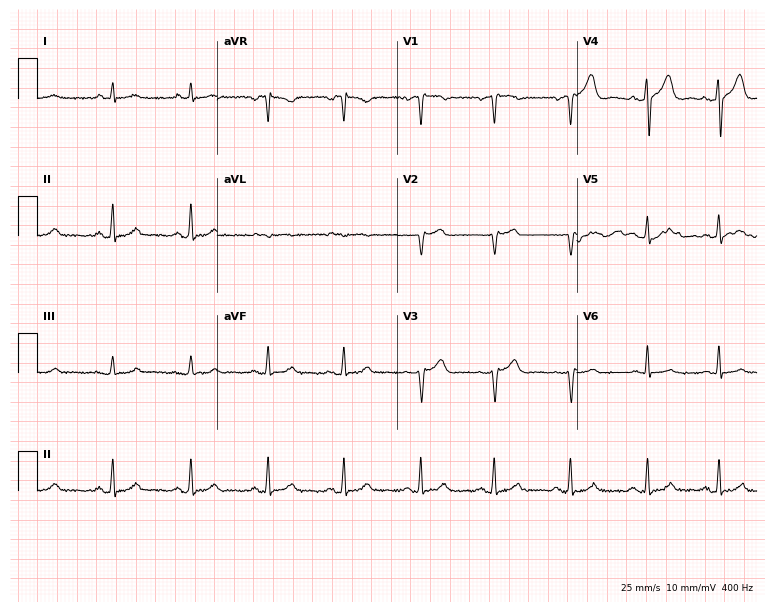
Resting 12-lead electrocardiogram. Patient: a male, 63 years old. None of these six findings is recorded: first-degree AV block, right bundle branch block, left bundle branch block, sinus bradycardia, atrial fibrillation, sinus tachycardia. Findings outside these six are not listed.